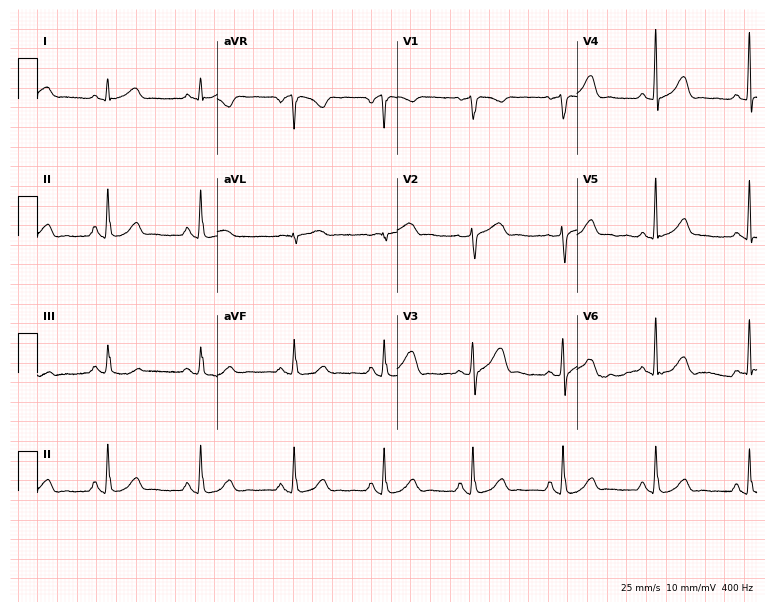
12-lead ECG (7.3-second recording at 400 Hz) from a female patient, 55 years old. Labelled as a normal ECG.